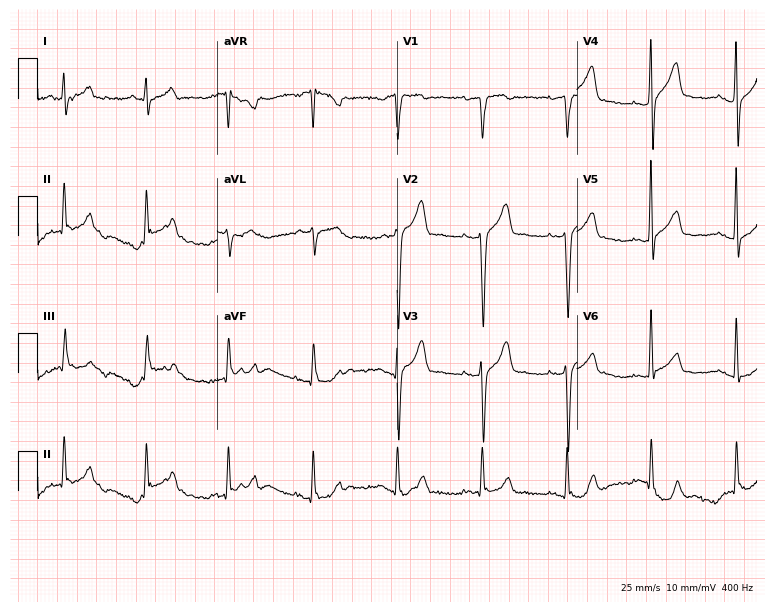
12-lead ECG from a male, 51 years old. Labelled as a normal ECG.